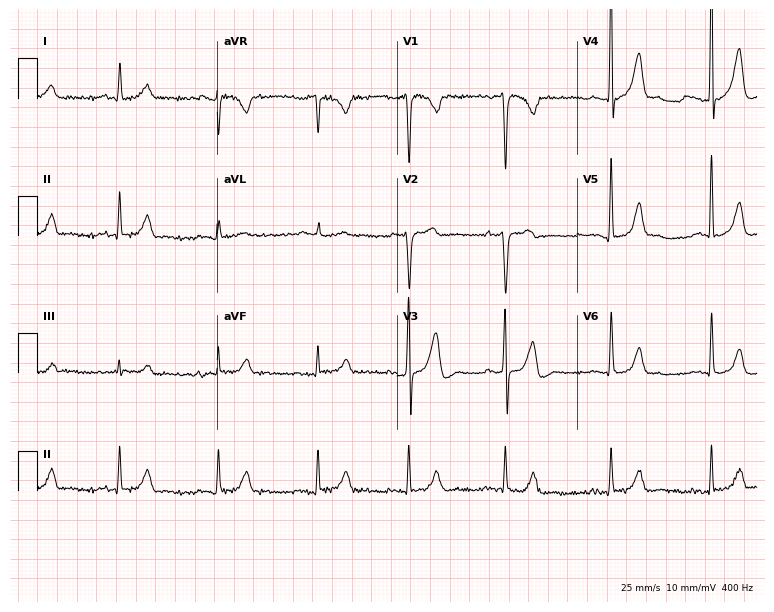
Standard 12-lead ECG recorded from a 38-year-old male patient (7.3-second recording at 400 Hz). Read as a normal ECG.